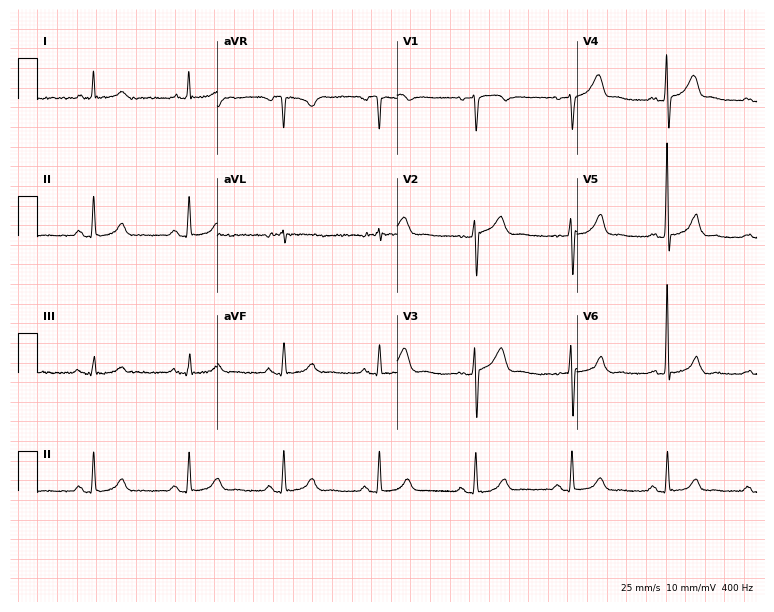
Standard 12-lead ECG recorded from a 62-year-old male. None of these six findings is recorded: first-degree AV block, right bundle branch block, left bundle branch block, sinus bradycardia, atrial fibrillation, sinus tachycardia. Other findings, if any, are not listed.